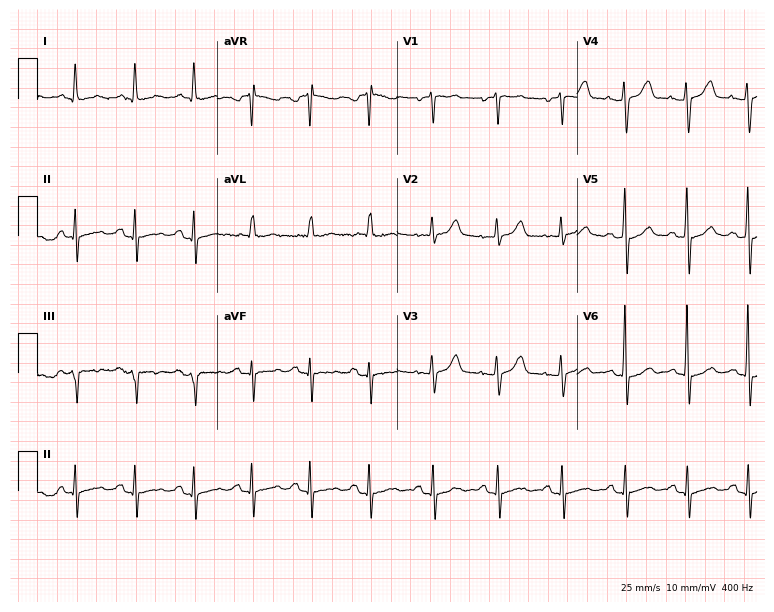
Standard 12-lead ECG recorded from a woman, 41 years old (7.3-second recording at 400 Hz). None of these six findings is recorded: first-degree AV block, right bundle branch block, left bundle branch block, sinus bradycardia, atrial fibrillation, sinus tachycardia. Only these six findings were labelled.